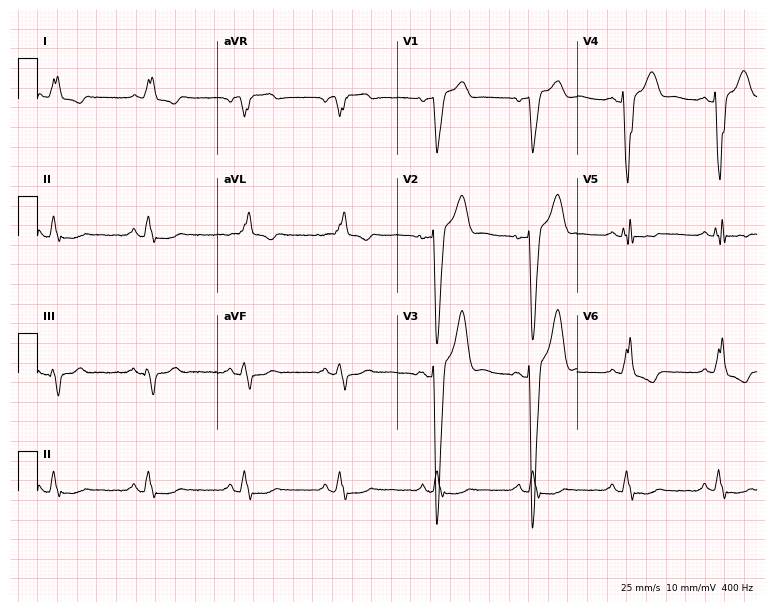
Resting 12-lead electrocardiogram (7.3-second recording at 400 Hz). Patient: a 67-year-old male. The tracing shows left bundle branch block.